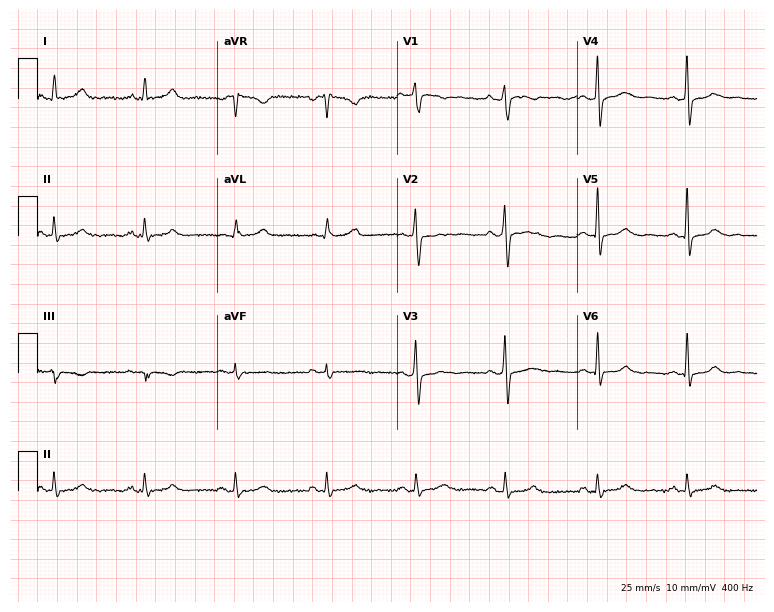
ECG — a female, 57 years old. Labelled as a normal ECG.